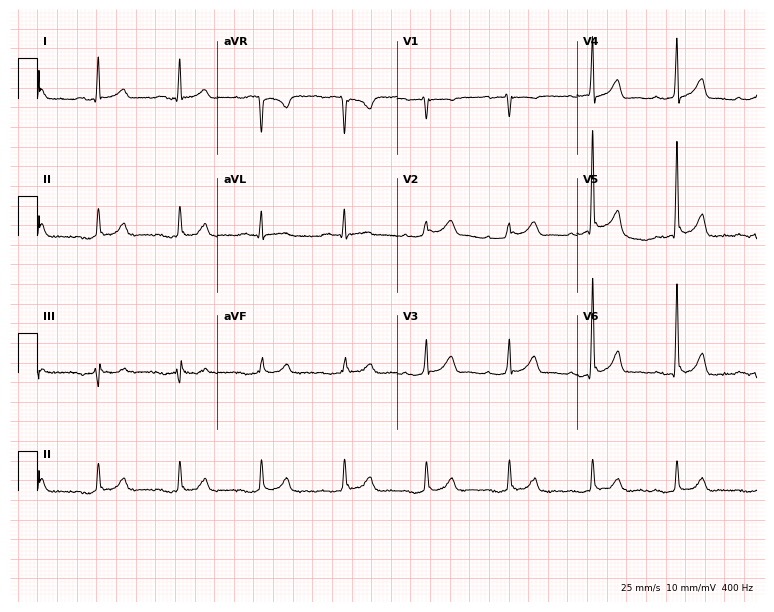
12-lead ECG from a male patient, 54 years old. Screened for six findings — first-degree AV block, right bundle branch block, left bundle branch block, sinus bradycardia, atrial fibrillation, sinus tachycardia — none is recorded. Only these six findings were labelled.